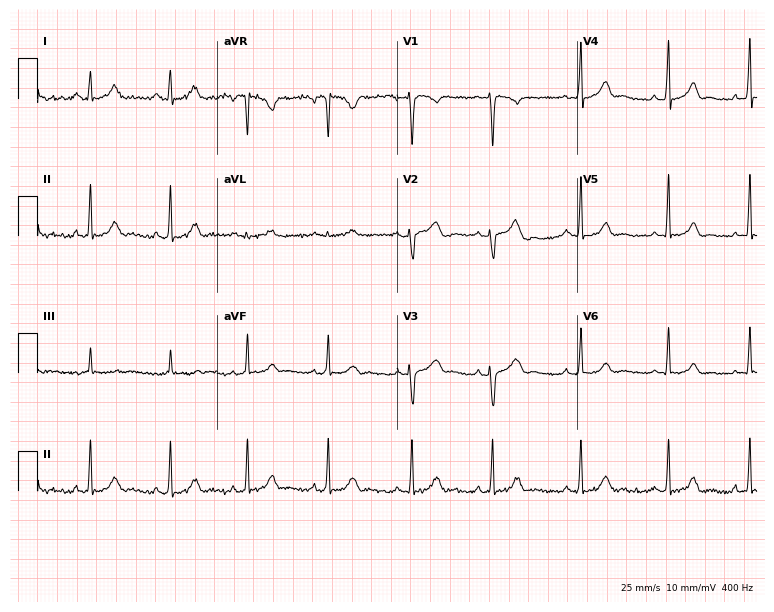
Resting 12-lead electrocardiogram (7.3-second recording at 400 Hz). Patient: a 36-year-old female. None of these six findings is recorded: first-degree AV block, right bundle branch block (RBBB), left bundle branch block (LBBB), sinus bradycardia, atrial fibrillation (AF), sinus tachycardia.